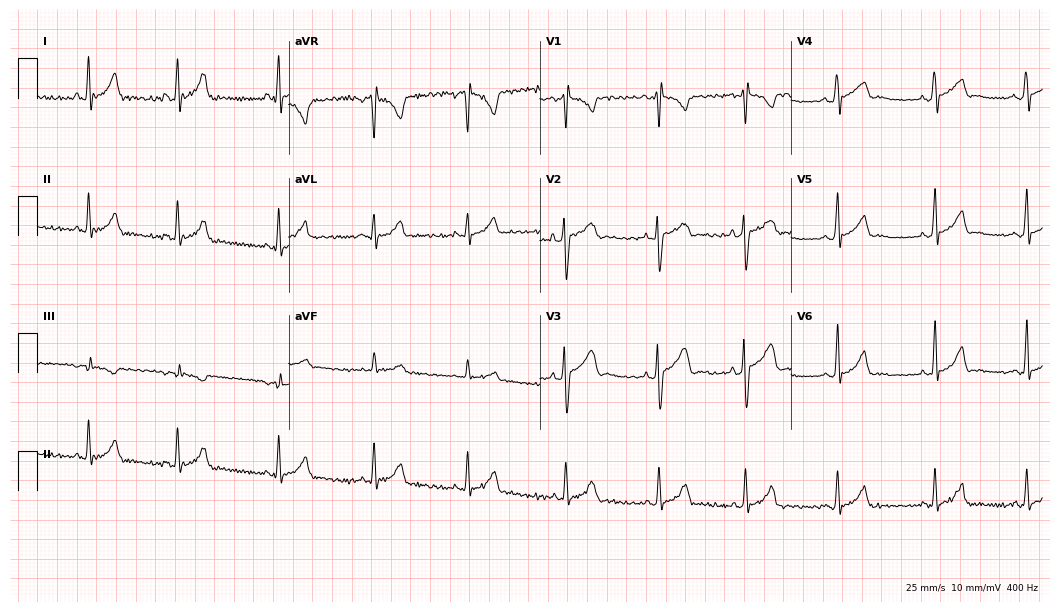
ECG (10.2-second recording at 400 Hz) — a 28-year-old woman. Labelled as a normal ECG.